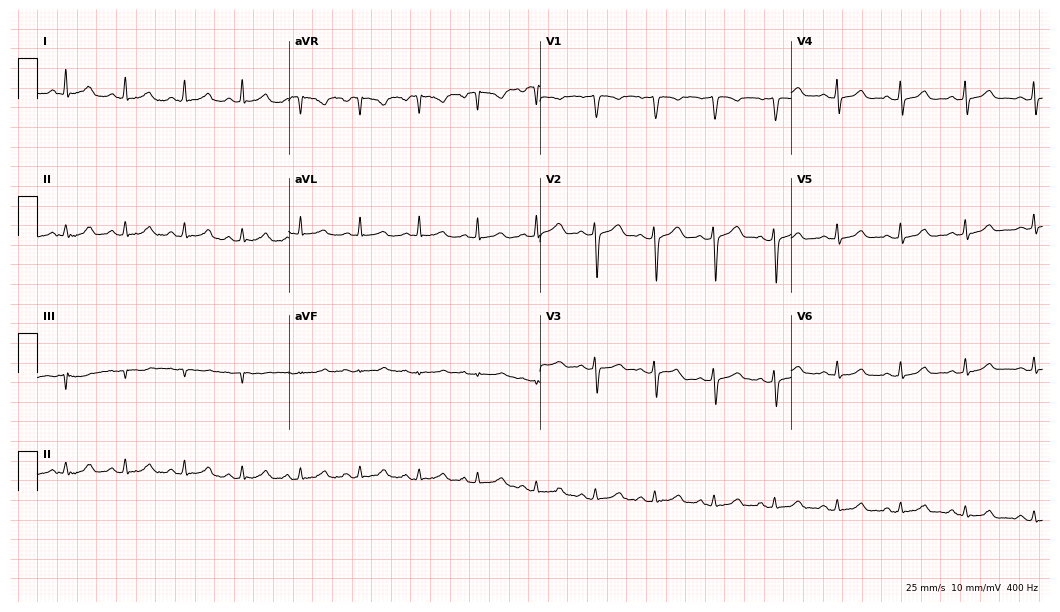
ECG (10.2-second recording at 400 Hz) — a female patient, 46 years old. Screened for six findings — first-degree AV block, right bundle branch block (RBBB), left bundle branch block (LBBB), sinus bradycardia, atrial fibrillation (AF), sinus tachycardia — none is recorded. Other findings, if any, are not listed.